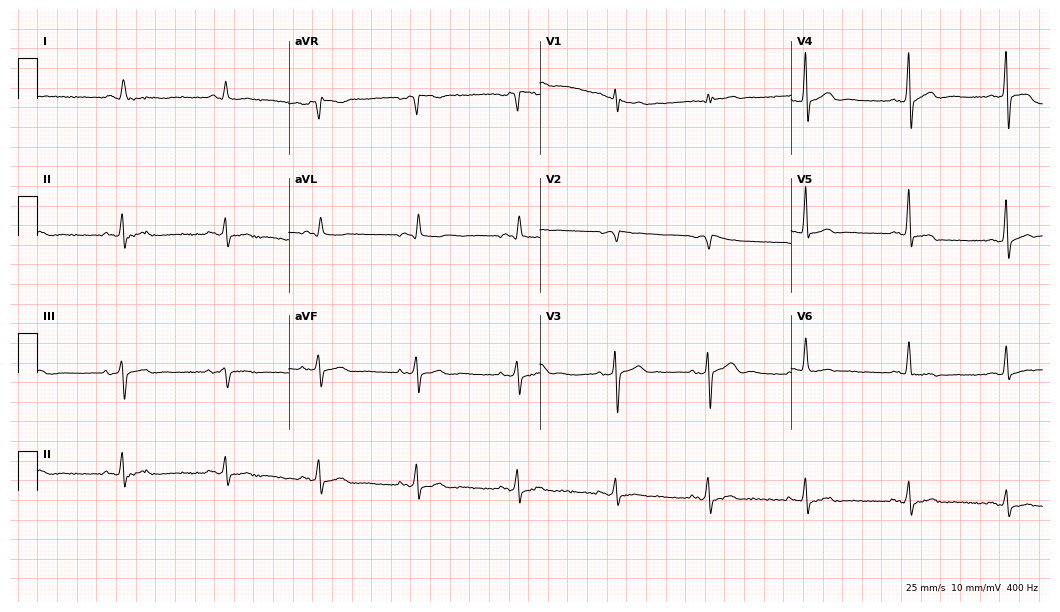
12-lead ECG (10.2-second recording at 400 Hz) from a man, 68 years old. Screened for six findings — first-degree AV block, right bundle branch block, left bundle branch block, sinus bradycardia, atrial fibrillation, sinus tachycardia — none is recorded.